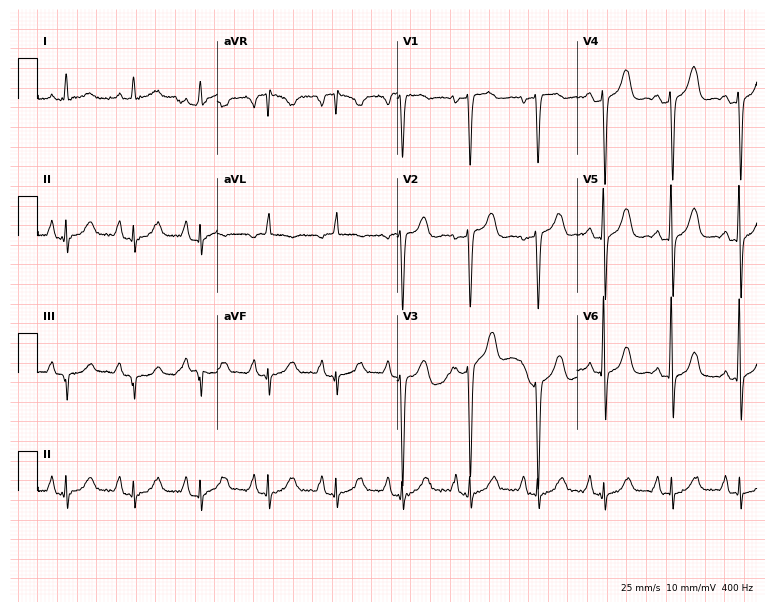
12-lead ECG from a 67-year-old female. No first-degree AV block, right bundle branch block, left bundle branch block, sinus bradycardia, atrial fibrillation or sinus tachycardia recorded for this tracing. Only these six findings were labelled.